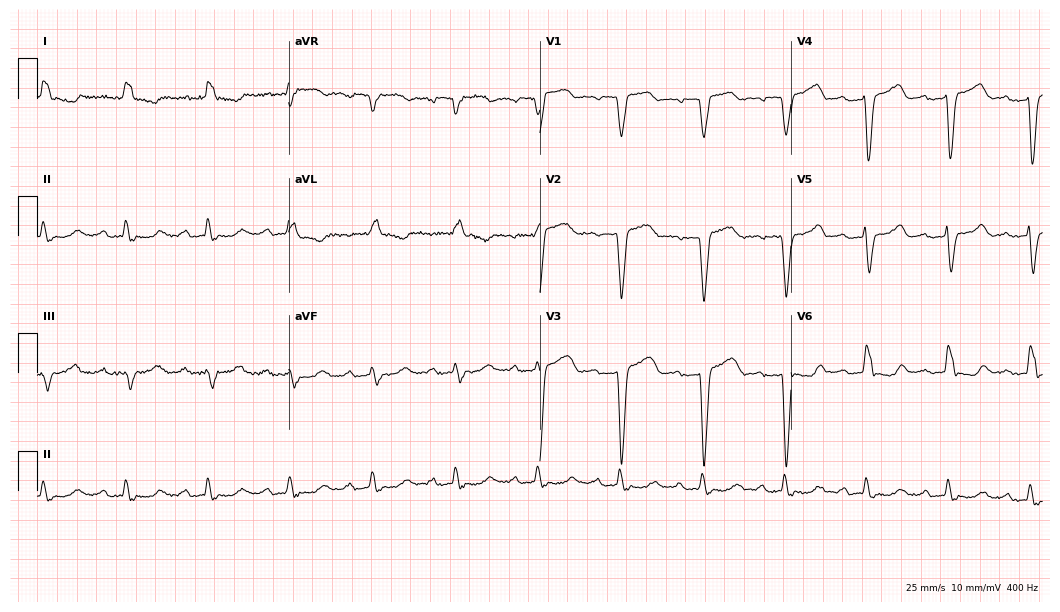
12-lead ECG (10.2-second recording at 400 Hz) from an 85-year-old woman. Findings include first-degree AV block, left bundle branch block (LBBB).